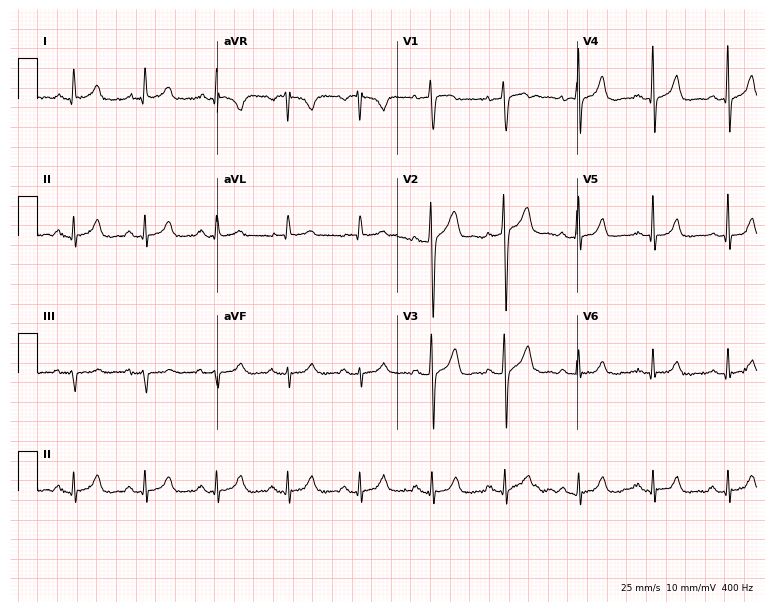
12-lead ECG from a male patient, 54 years old (7.3-second recording at 400 Hz). No first-degree AV block, right bundle branch block, left bundle branch block, sinus bradycardia, atrial fibrillation or sinus tachycardia recorded for this tracing. Findings outside these six are not listed.